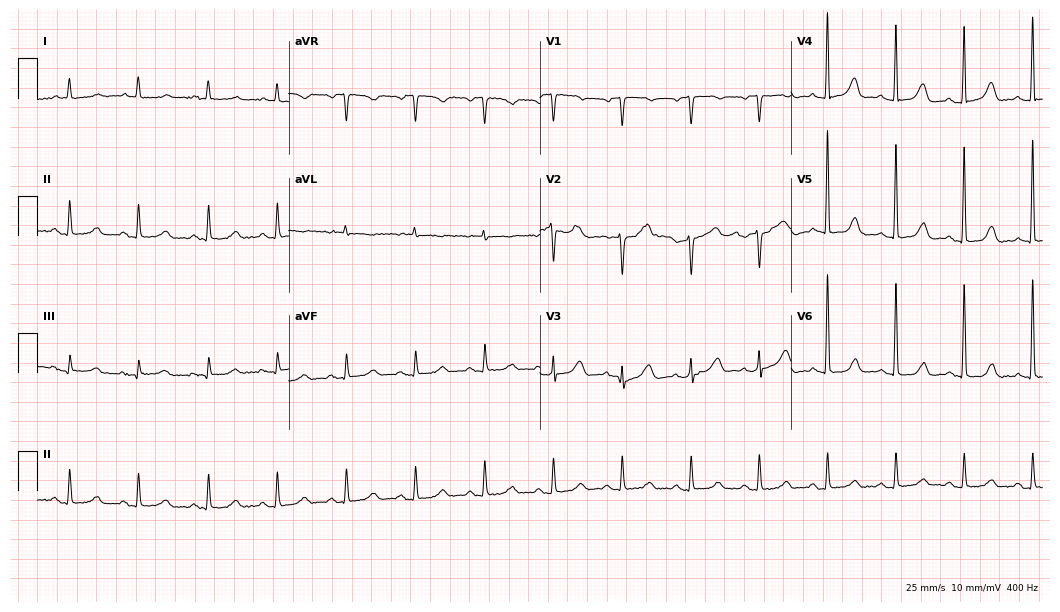
12-lead ECG (10.2-second recording at 400 Hz) from a female, 85 years old. Labelled as a normal ECG.